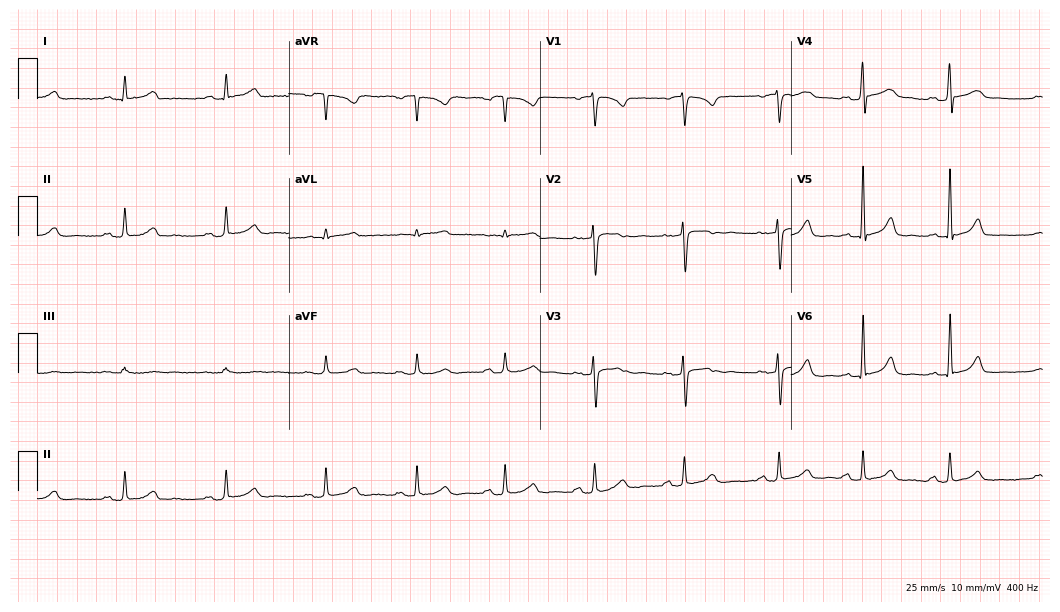
Electrocardiogram, a 41-year-old woman. Overall reading on record: normal ECG.